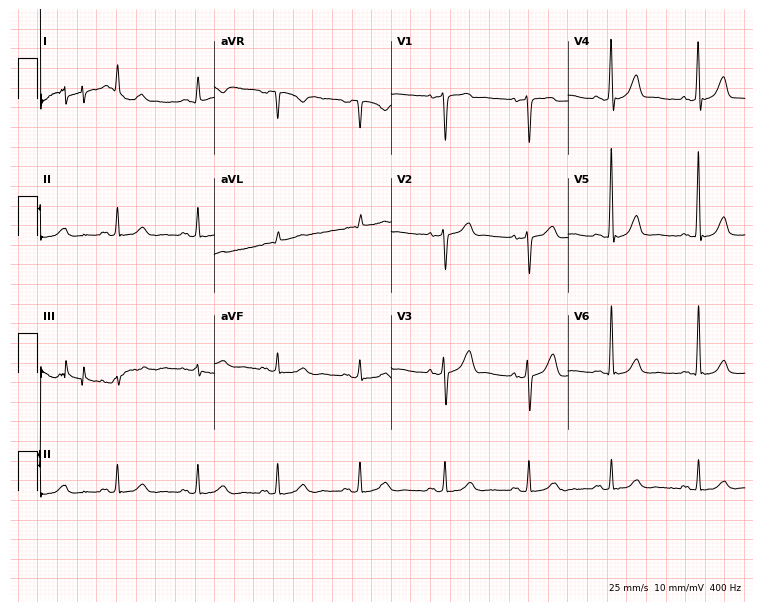
12-lead ECG from a male patient, 77 years old. Labelled as a normal ECG.